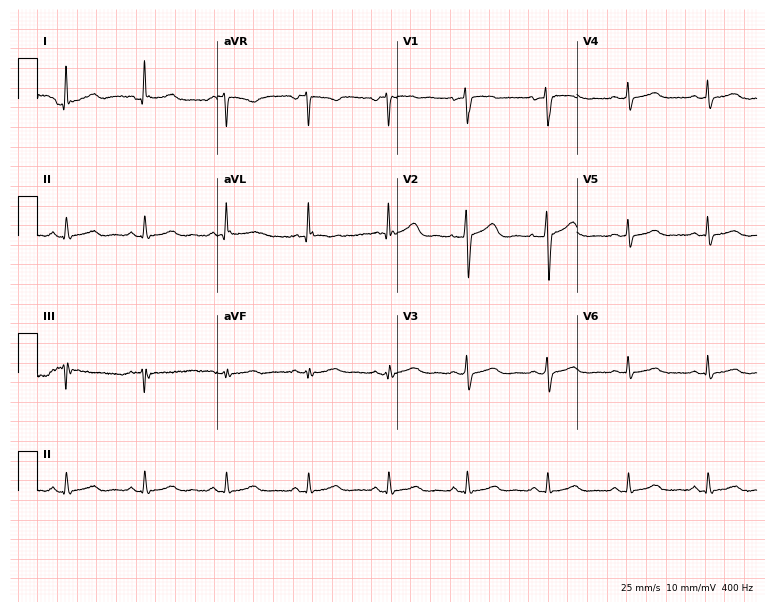
Standard 12-lead ECG recorded from a 52-year-old female patient (7.3-second recording at 400 Hz). Read as a normal ECG.